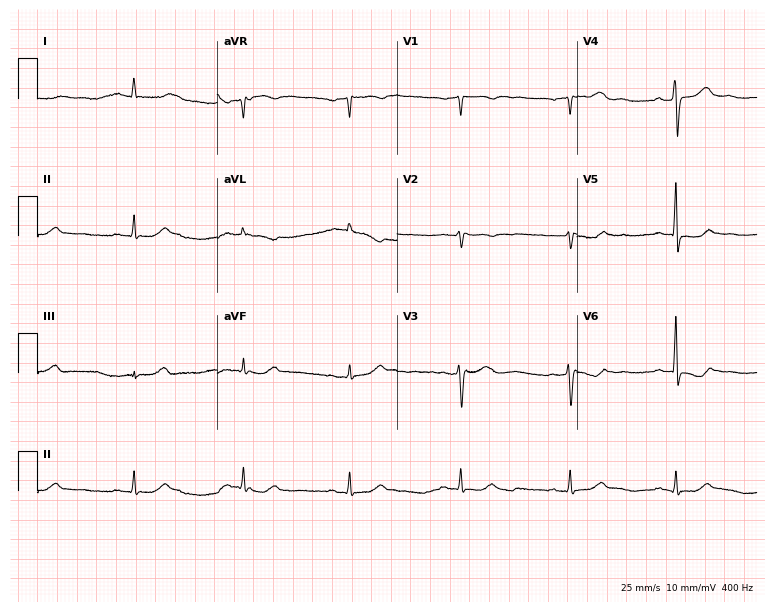
Resting 12-lead electrocardiogram. Patient: a female, 60 years old. None of these six findings is recorded: first-degree AV block, right bundle branch block, left bundle branch block, sinus bradycardia, atrial fibrillation, sinus tachycardia. Only these six findings were labelled.